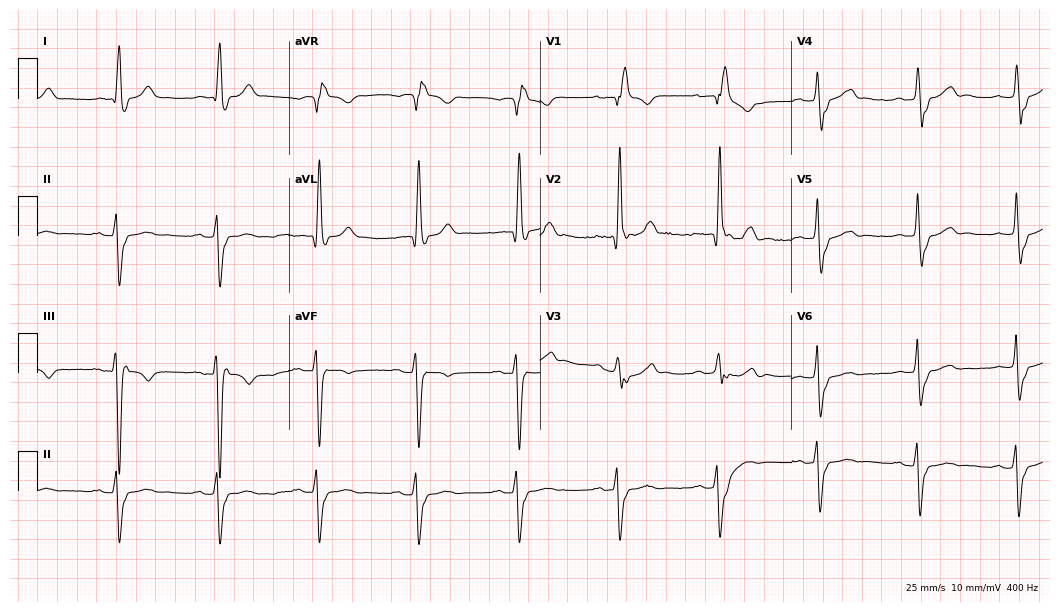
12-lead ECG from a man, 84 years old. Shows right bundle branch block (RBBB).